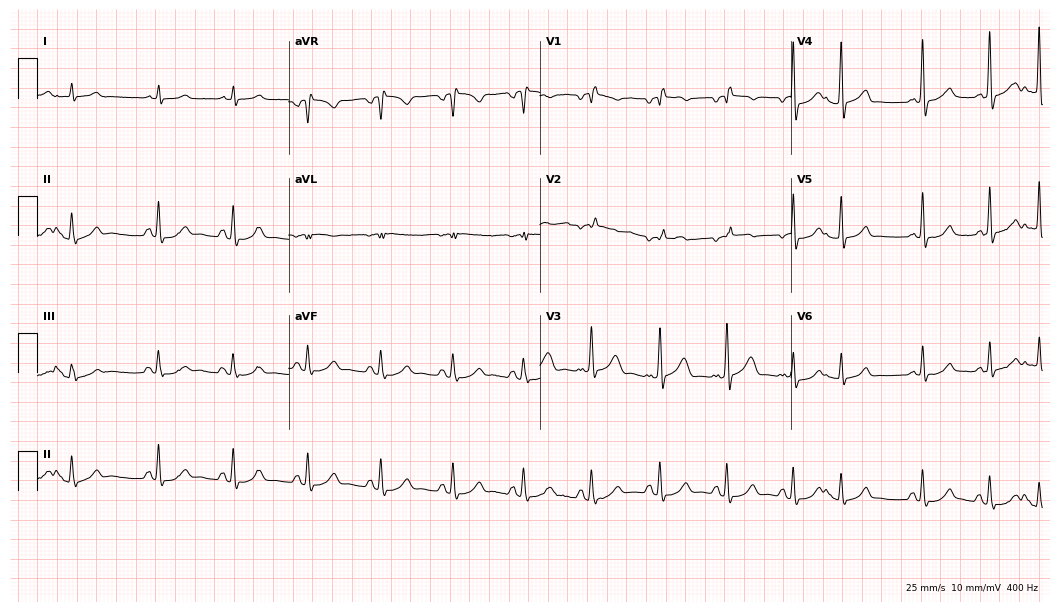
Resting 12-lead electrocardiogram. Patient: a male, 84 years old. None of these six findings is recorded: first-degree AV block, right bundle branch block (RBBB), left bundle branch block (LBBB), sinus bradycardia, atrial fibrillation (AF), sinus tachycardia. Findings outside these six are not listed.